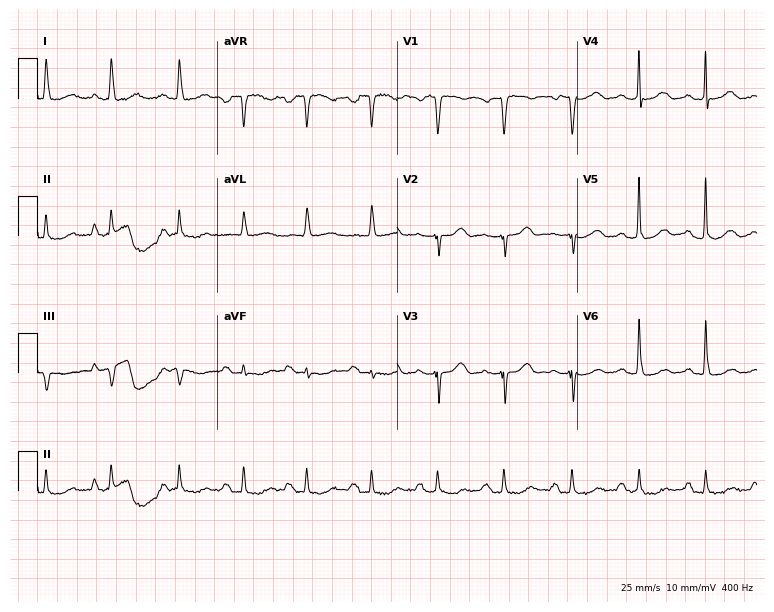
Electrocardiogram, a woman, 76 years old. Of the six screened findings (first-degree AV block, right bundle branch block, left bundle branch block, sinus bradycardia, atrial fibrillation, sinus tachycardia), none is recorded.